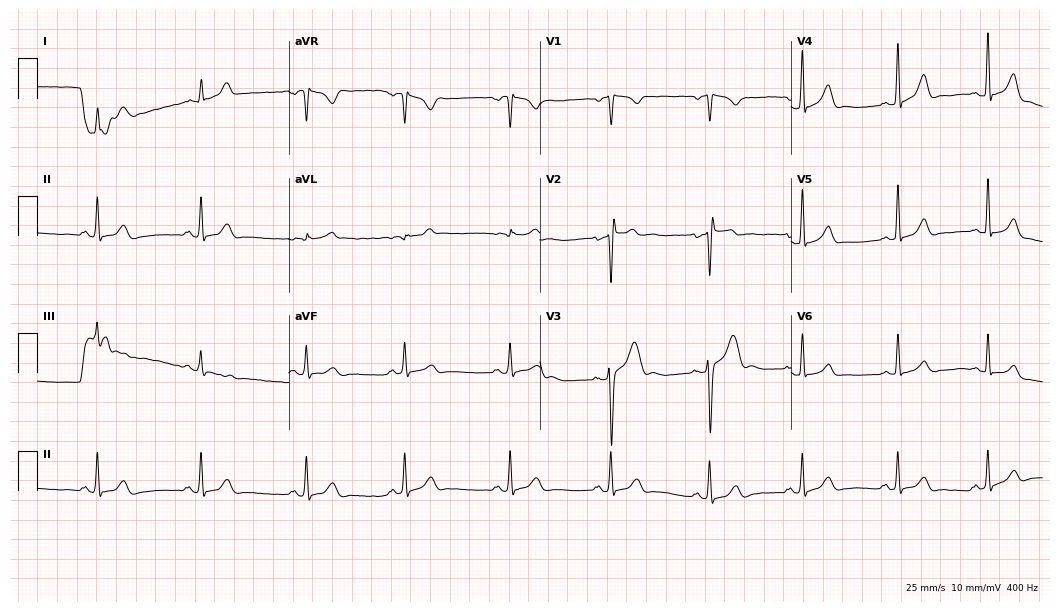
ECG — a 30-year-old male. Labelled as a normal ECG.